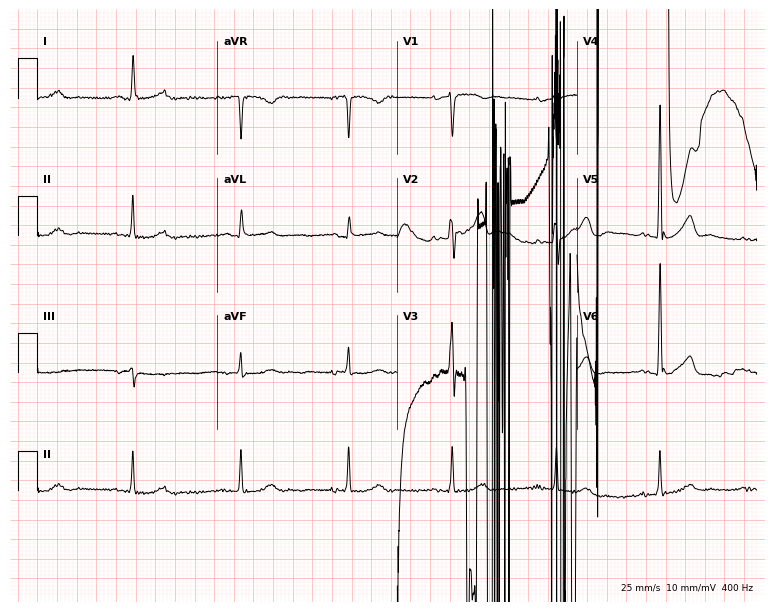
12-lead ECG from a 77-year-old man. Screened for six findings — first-degree AV block, right bundle branch block (RBBB), left bundle branch block (LBBB), sinus bradycardia, atrial fibrillation (AF), sinus tachycardia — none is recorded. Other findings, if any, are not listed.